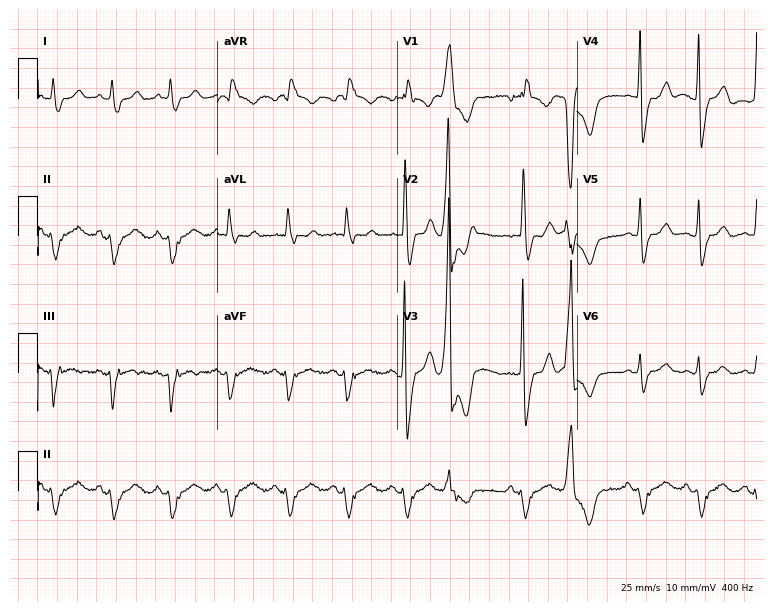
12-lead ECG (7.3-second recording at 400 Hz) from a 59-year-old male patient. Findings include right bundle branch block.